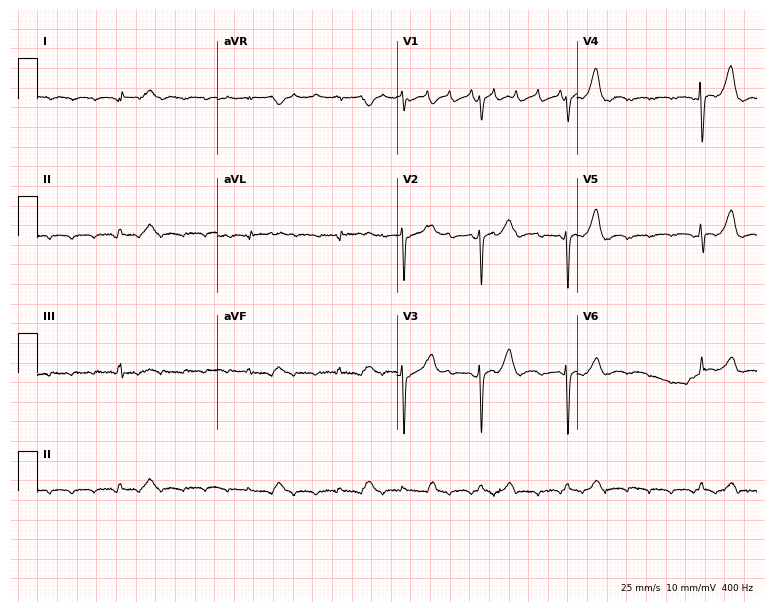
ECG — an 82-year-old female patient. Screened for six findings — first-degree AV block, right bundle branch block, left bundle branch block, sinus bradycardia, atrial fibrillation, sinus tachycardia — none is recorded.